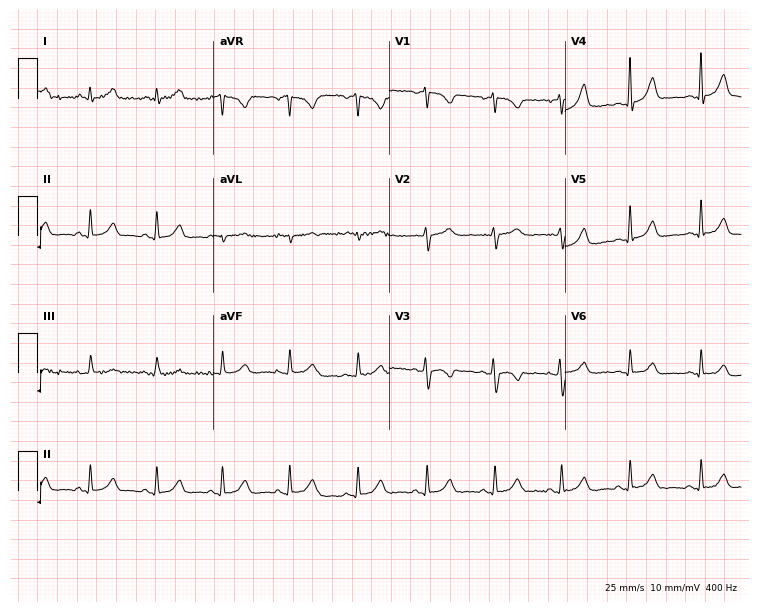
Resting 12-lead electrocardiogram (7.2-second recording at 400 Hz). Patient: a 49-year-old female. Read as a normal ECG.